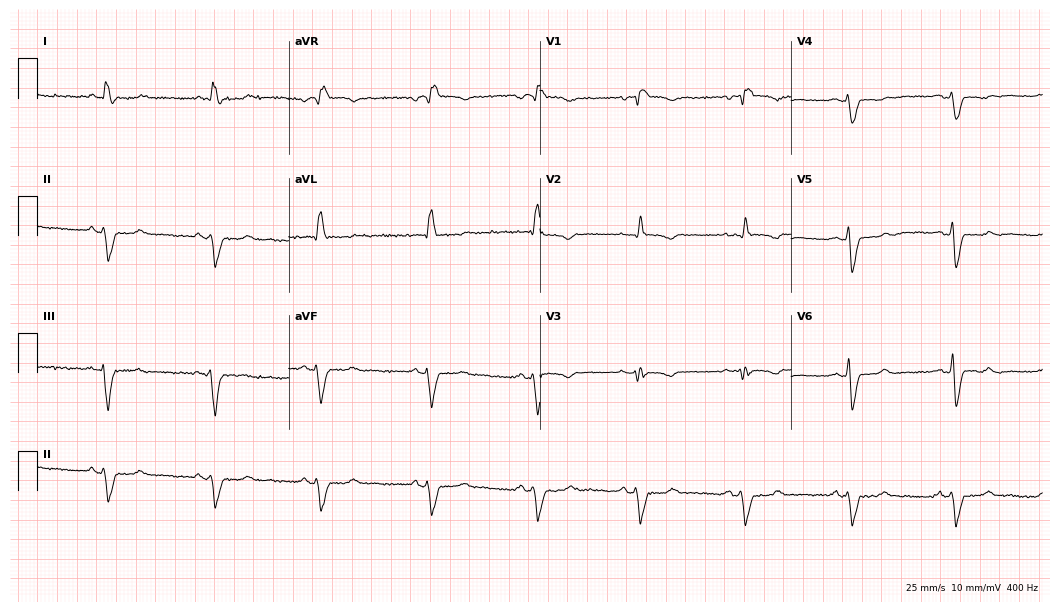
Standard 12-lead ECG recorded from a female patient, 71 years old. None of these six findings is recorded: first-degree AV block, right bundle branch block (RBBB), left bundle branch block (LBBB), sinus bradycardia, atrial fibrillation (AF), sinus tachycardia.